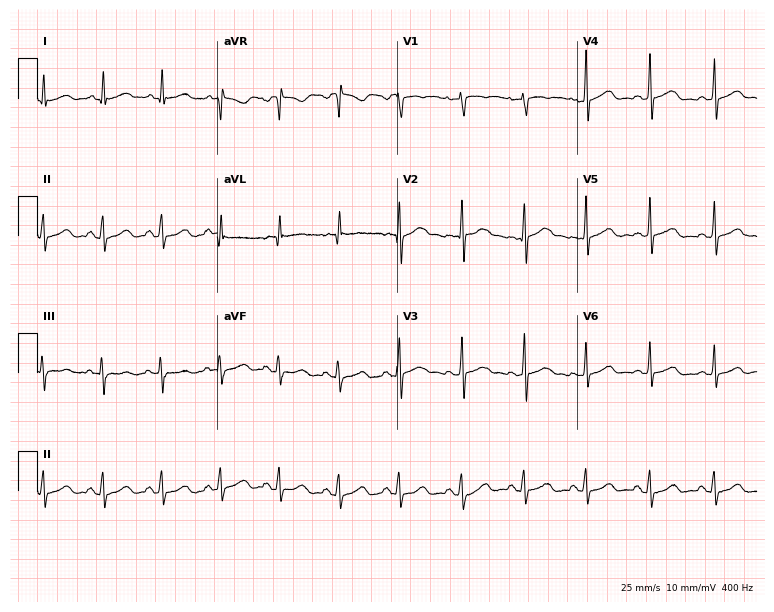
12-lead ECG from a female, 35 years old (7.3-second recording at 400 Hz). Recorded interpretation: within normal limits.